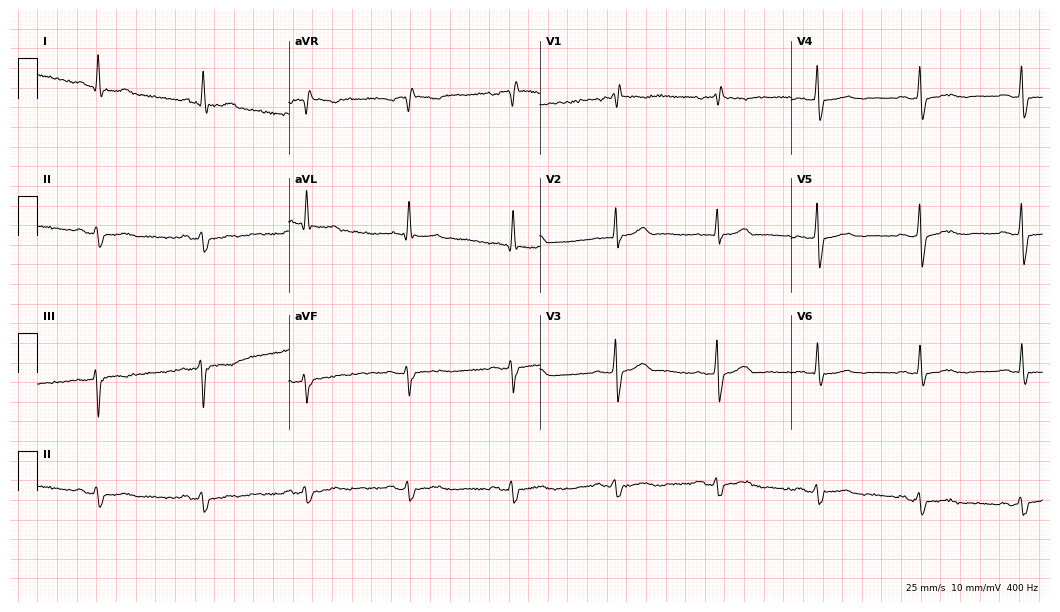
ECG — a man, 66 years old. Screened for six findings — first-degree AV block, right bundle branch block (RBBB), left bundle branch block (LBBB), sinus bradycardia, atrial fibrillation (AF), sinus tachycardia — none is recorded.